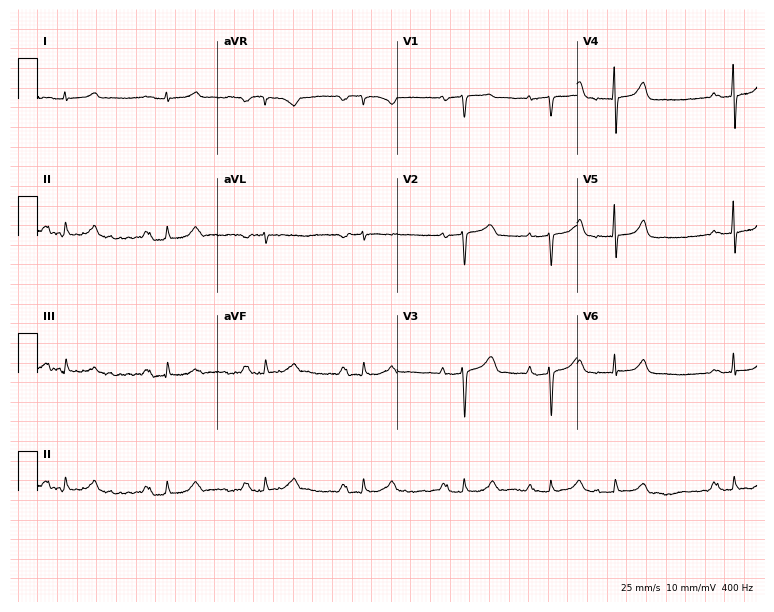
Standard 12-lead ECG recorded from an 84-year-old female. The tracing shows first-degree AV block.